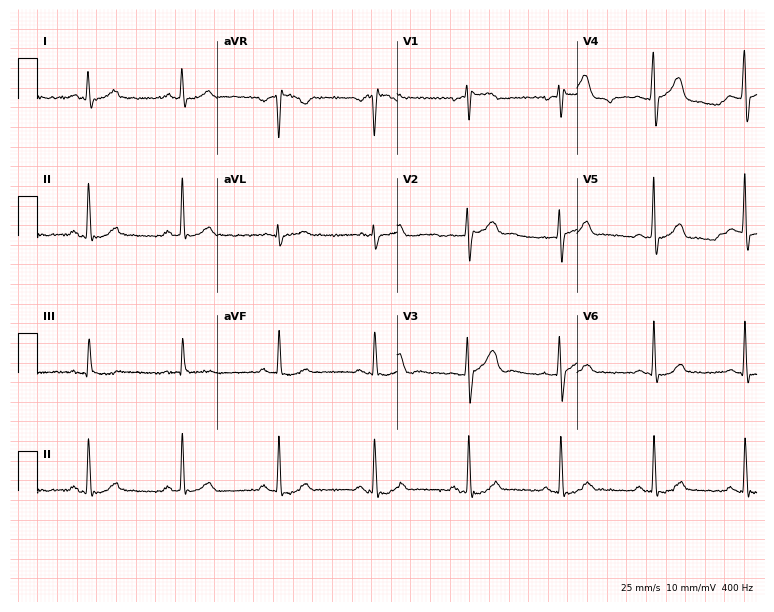
12-lead ECG from a man, 49 years old (7.3-second recording at 400 Hz). Recorded interpretation: within normal limits.